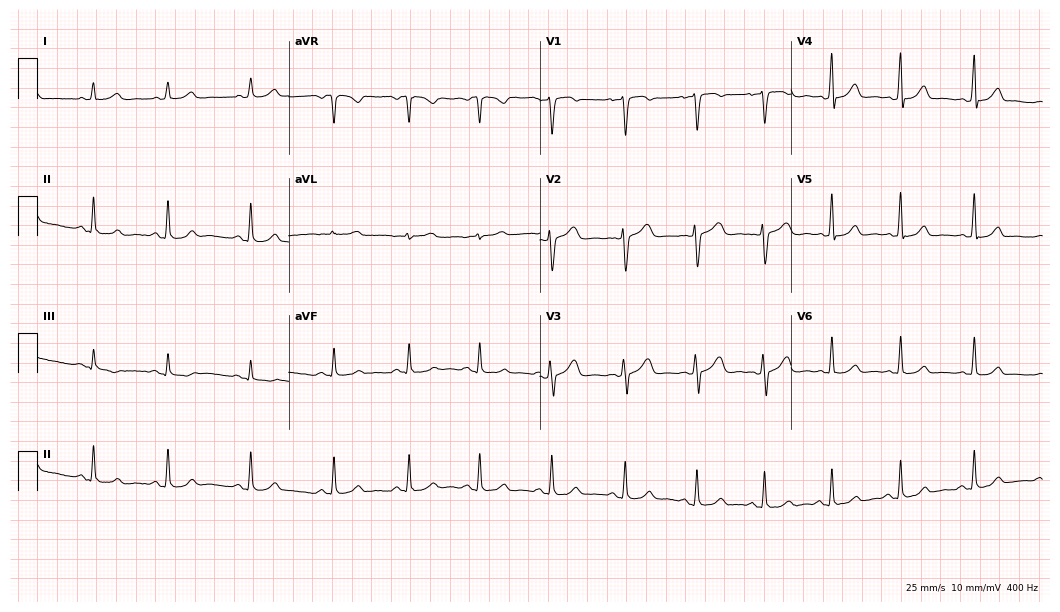
Resting 12-lead electrocardiogram. Patient: a 30-year-old woman. Read as a normal ECG.